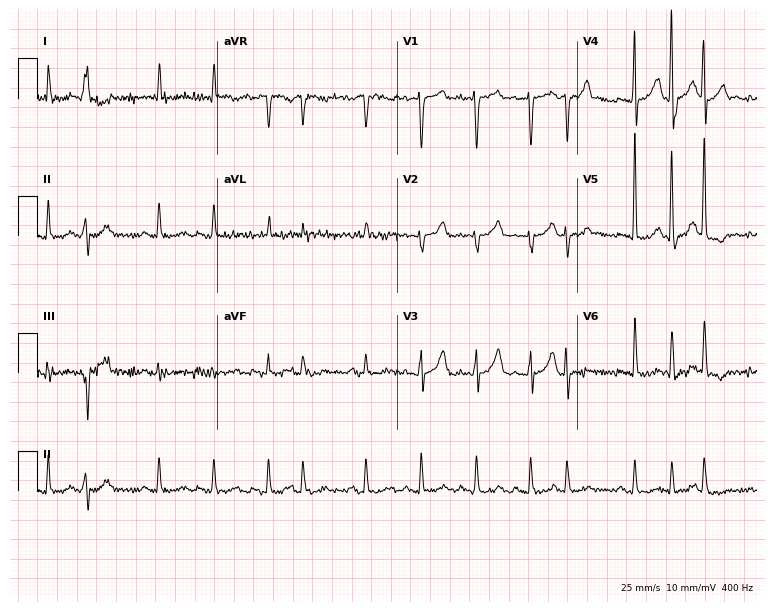
12-lead ECG from a 78-year-old woman. Screened for six findings — first-degree AV block, right bundle branch block, left bundle branch block, sinus bradycardia, atrial fibrillation, sinus tachycardia — none is recorded. Only these six findings were labelled.